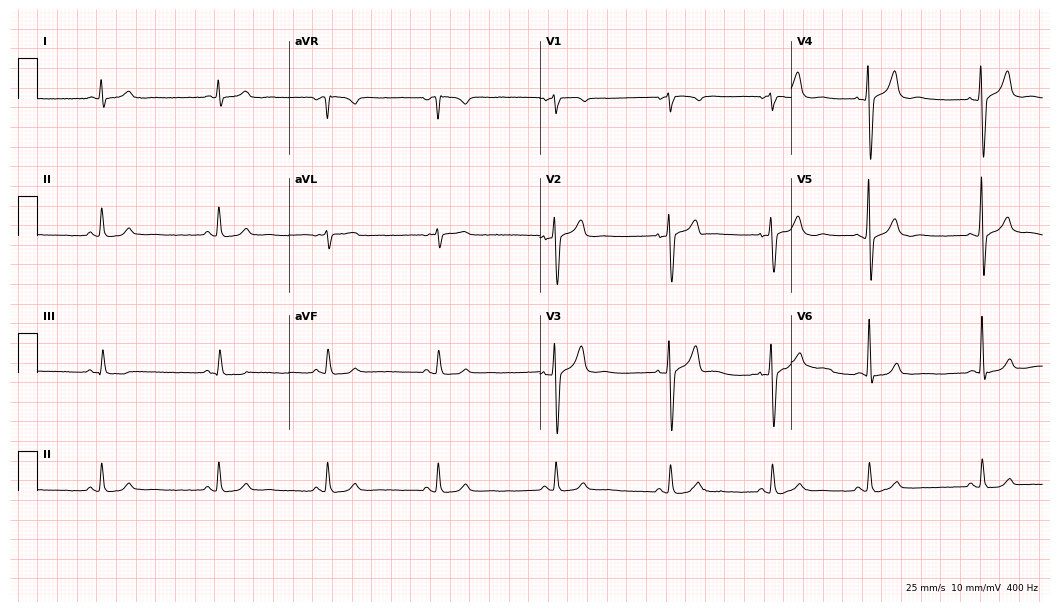
Standard 12-lead ECG recorded from a 48-year-old man (10.2-second recording at 400 Hz). Read as a normal ECG.